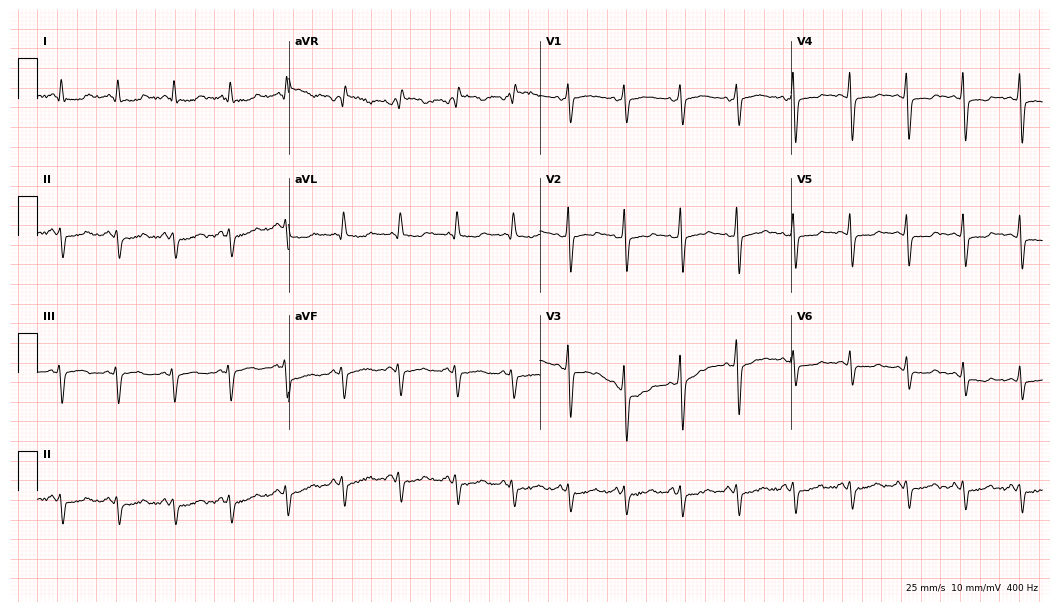
12-lead ECG from a 64-year-old female (10.2-second recording at 400 Hz). Shows sinus tachycardia (a sinus rate of 100 beats per minute or more).